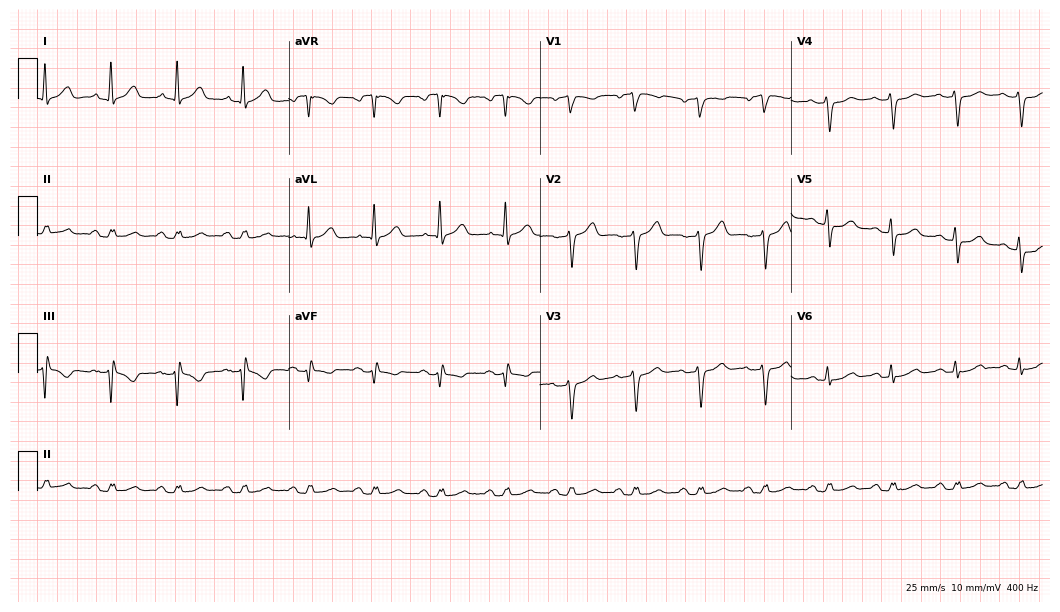
Standard 12-lead ECG recorded from a 66-year-old female. None of these six findings is recorded: first-degree AV block, right bundle branch block, left bundle branch block, sinus bradycardia, atrial fibrillation, sinus tachycardia.